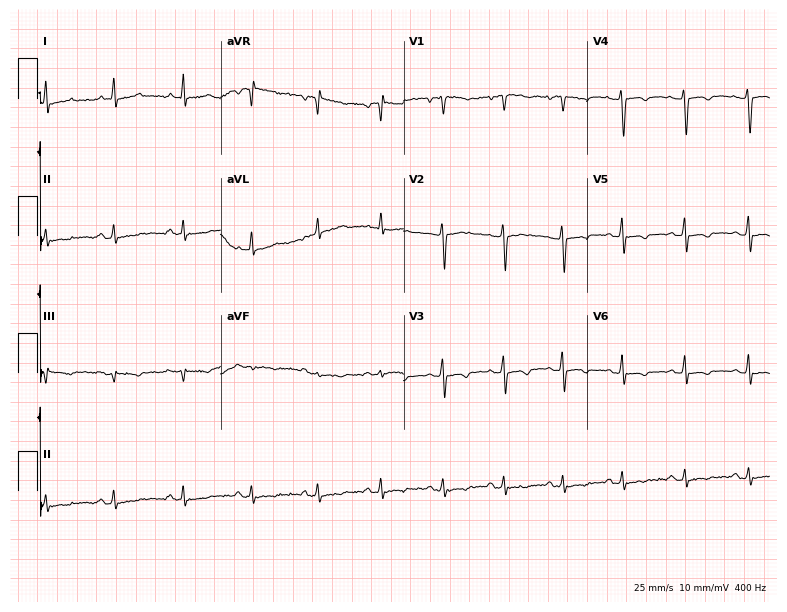
Resting 12-lead electrocardiogram (7.5-second recording at 400 Hz). Patient: a female, 43 years old. None of these six findings is recorded: first-degree AV block, right bundle branch block, left bundle branch block, sinus bradycardia, atrial fibrillation, sinus tachycardia. Other findings, if any, are not listed.